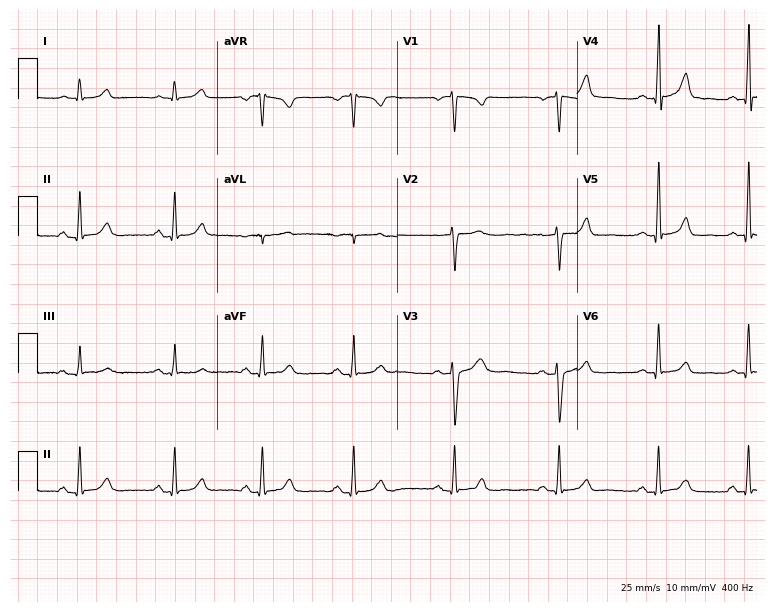
Standard 12-lead ECG recorded from a 17-year-old female (7.3-second recording at 400 Hz). Read as a normal ECG.